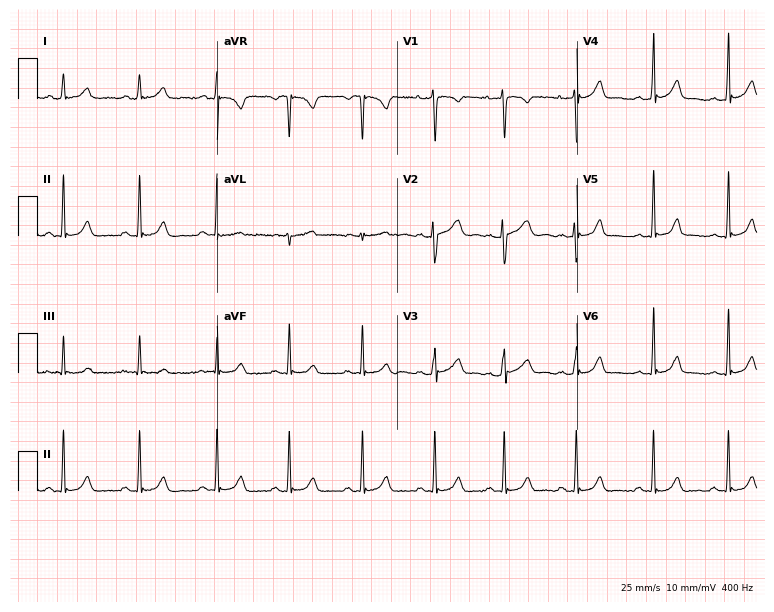
Standard 12-lead ECG recorded from a female patient, 20 years old. Read as a normal ECG.